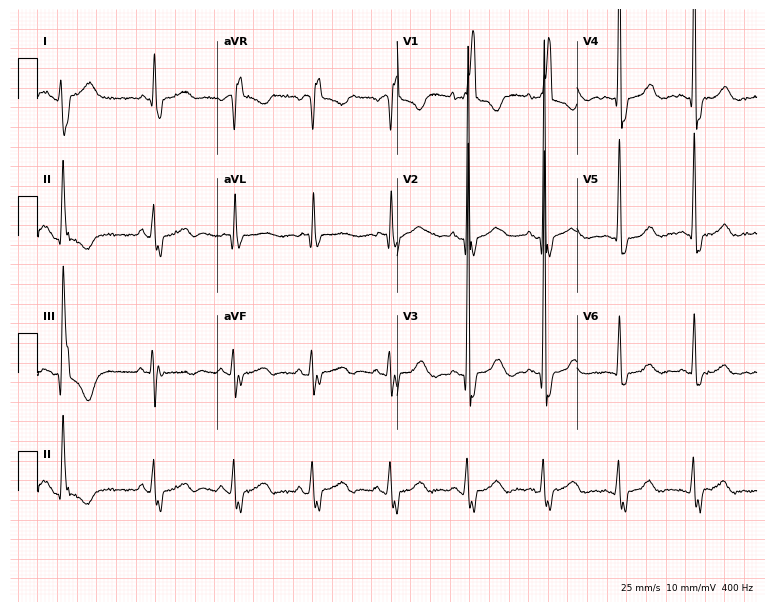
12-lead ECG from a man, 83 years old. Findings include right bundle branch block.